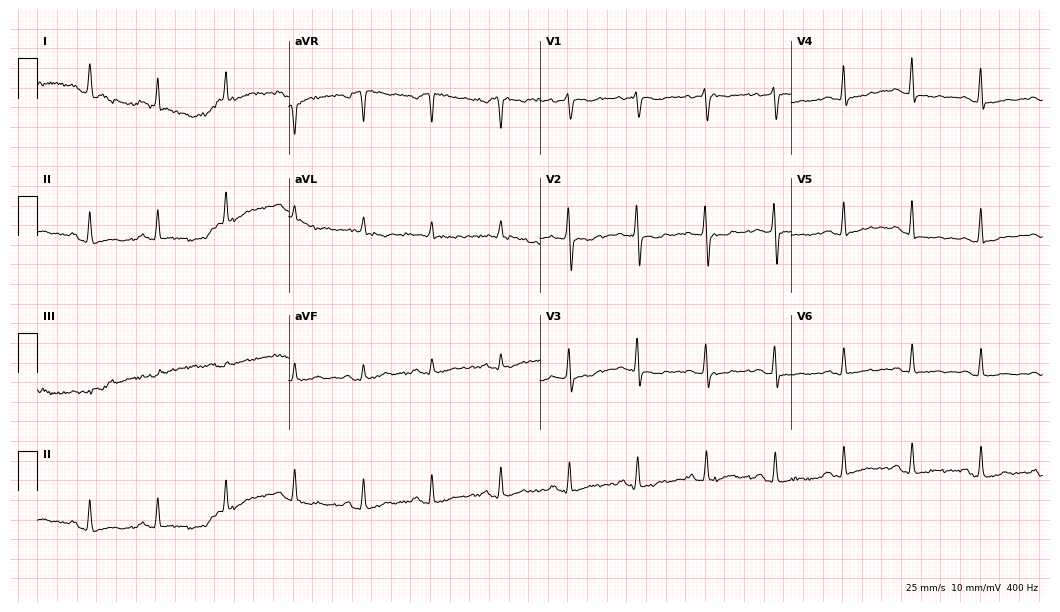
12-lead ECG from an 80-year-old female patient. No first-degree AV block, right bundle branch block (RBBB), left bundle branch block (LBBB), sinus bradycardia, atrial fibrillation (AF) or sinus tachycardia recorded for this tracing.